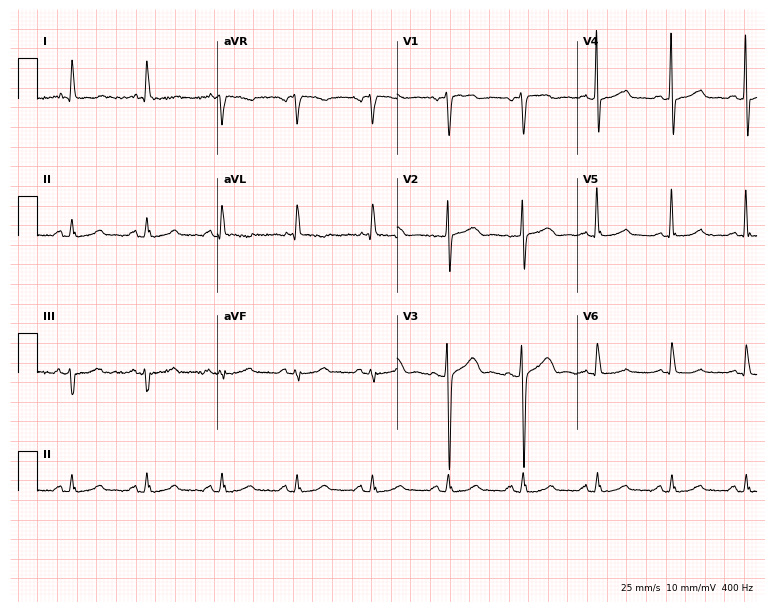
Standard 12-lead ECG recorded from a 64-year-old woman. Read as a normal ECG.